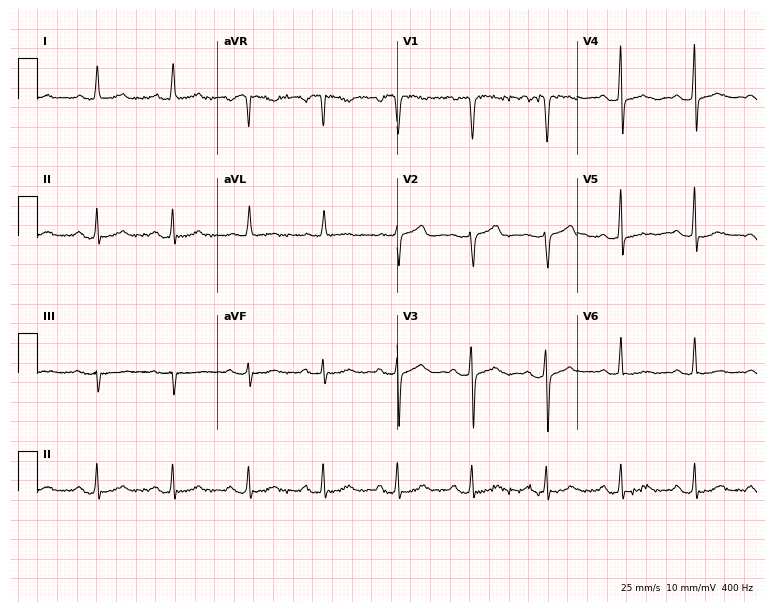
ECG — a female, 63 years old. Screened for six findings — first-degree AV block, right bundle branch block, left bundle branch block, sinus bradycardia, atrial fibrillation, sinus tachycardia — none is recorded.